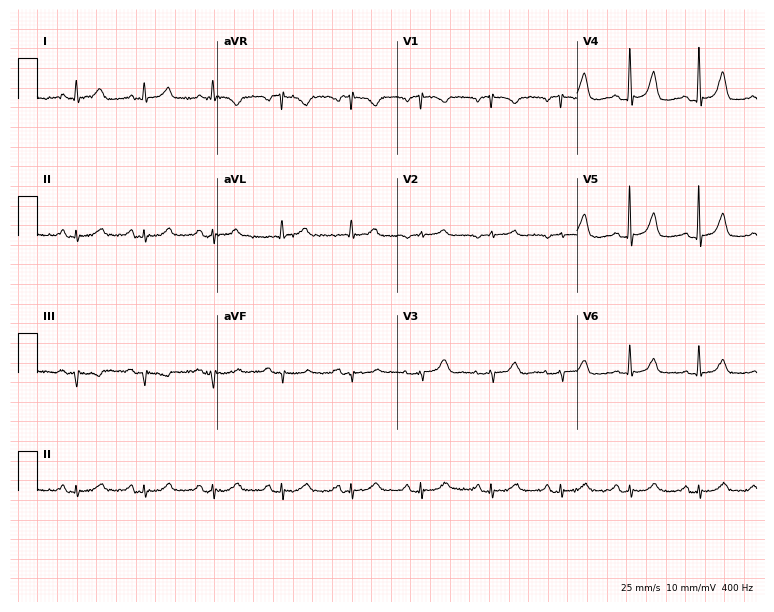
Electrocardiogram, an 81-year-old female. Of the six screened findings (first-degree AV block, right bundle branch block, left bundle branch block, sinus bradycardia, atrial fibrillation, sinus tachycardia), none is recorded.